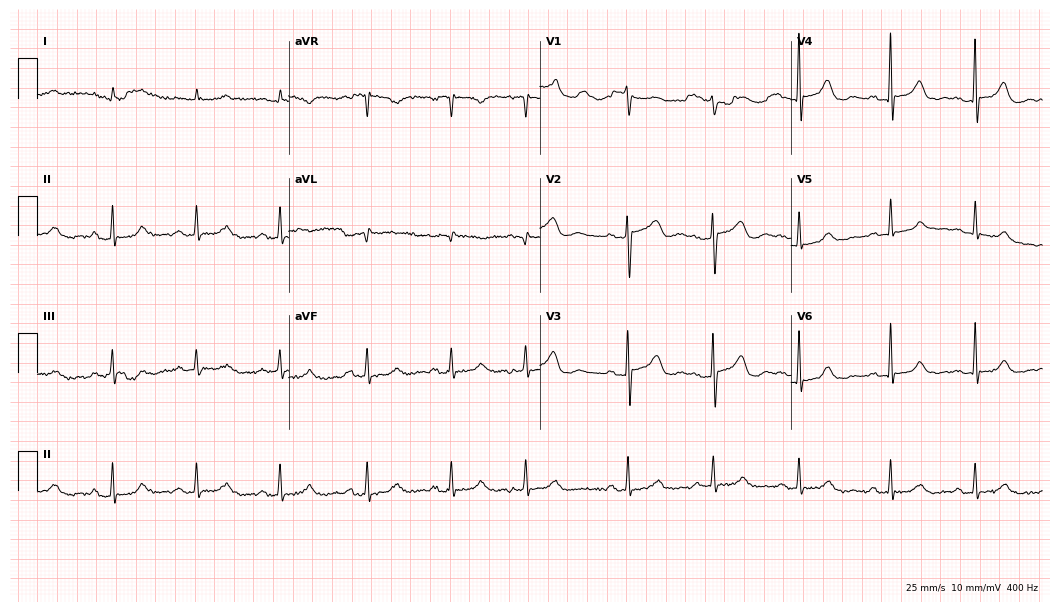
12-lead ECG from a female, 85 years old (10.2-second recording at 400 Hz). Recorded interpretation: within normal limits.